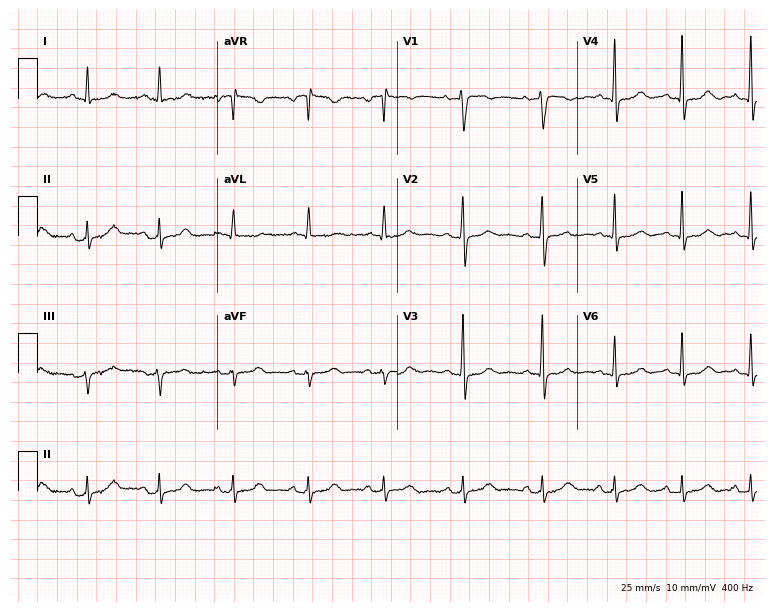
Resting 12-lead electrocardiogram (7.3-second recording at 400 Hz). Patient: a female, 52 years old. Read as a normal ECG.